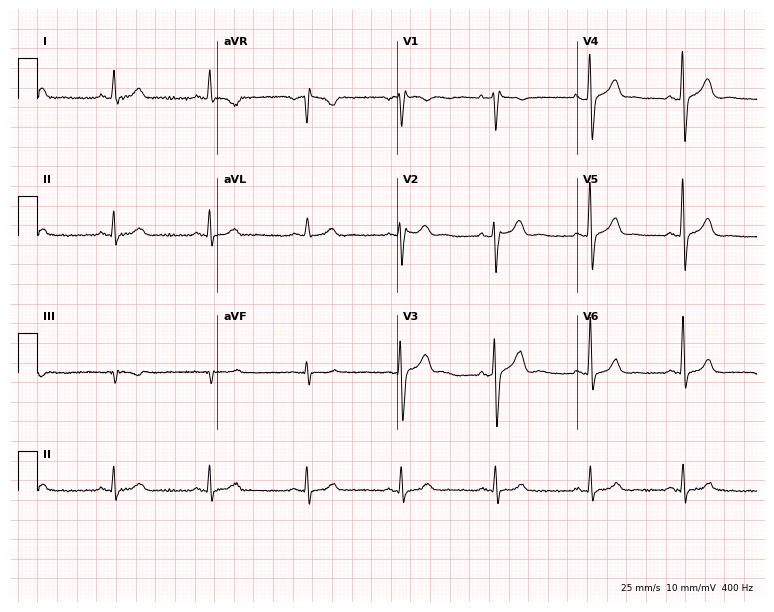
Standard 12-lead ECG recorded from a male patient, 48 years old. None of these six findings is recorded: first-degree AV block, right bundle branch block, left bundle branch block, sinus bradycardia, atrial fibrillation, sinus tachycardia.